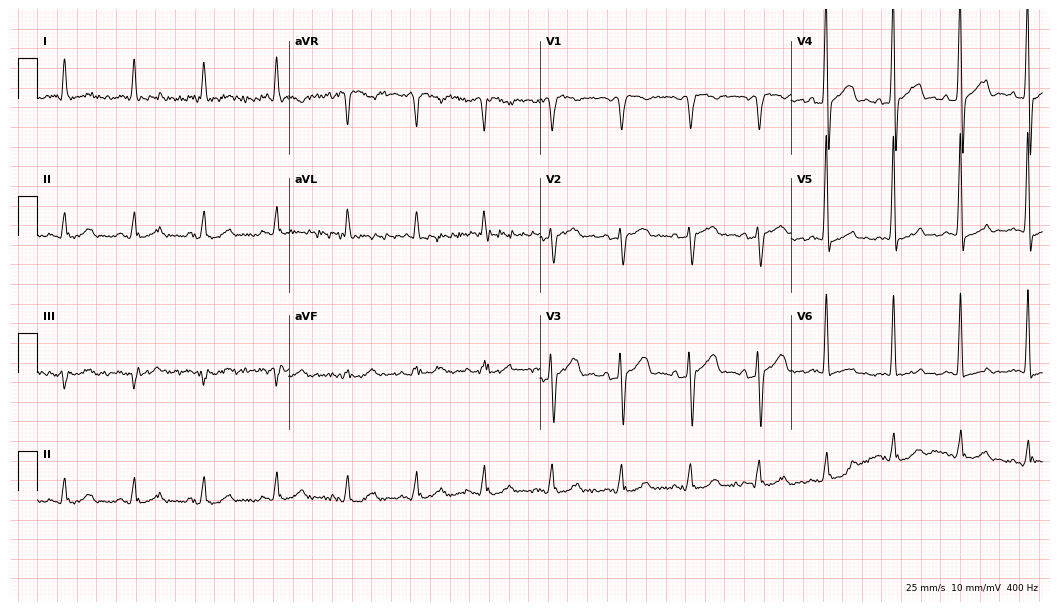
Resting 12-lead electrocardiogram (10.2-second recording at 400 Hz). Patient: a man, 69 years old. None of these six findings is recorded: first-degree AV block, right bundle branch block, left bundle branch block, sinus bradycardia, atrial fibrillation, sinus tachycardia. Other findings, if any, are not listed.